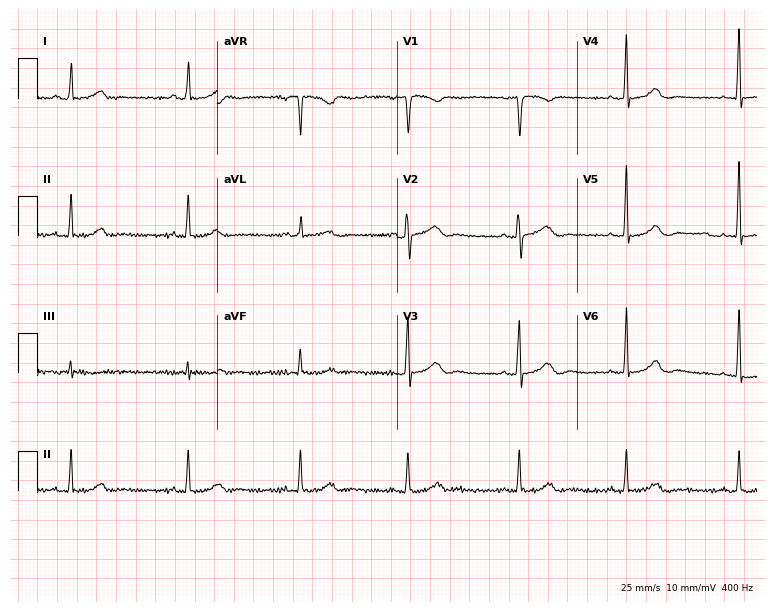
12-lead ECG (7.3-second recording at 400 Hz) from a 55-year-old female patient. Labelled as a normal ECG.